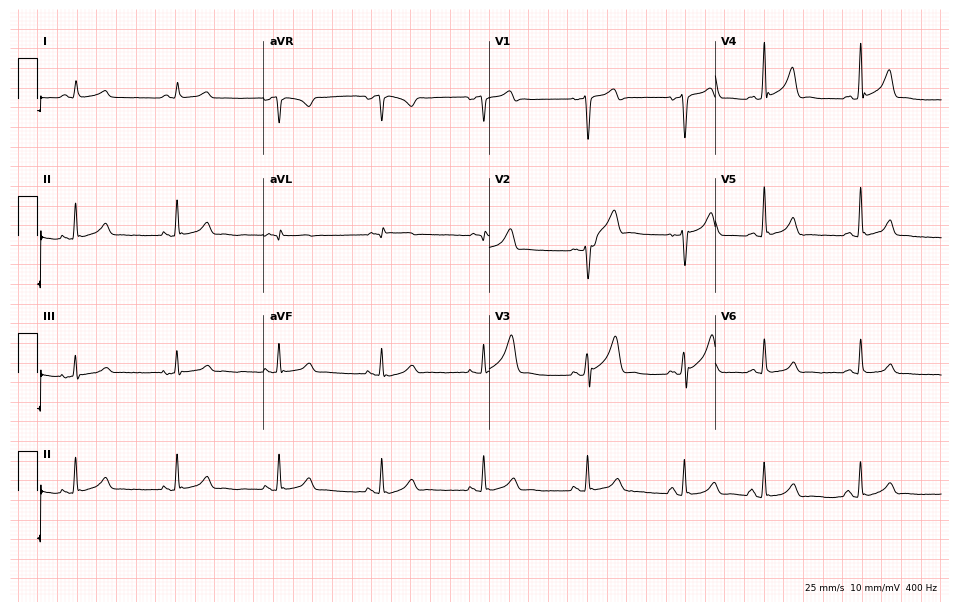
Resting 12-lead electrocardiogram. Patient: a male, 55 years old. Read as a normal ECG.